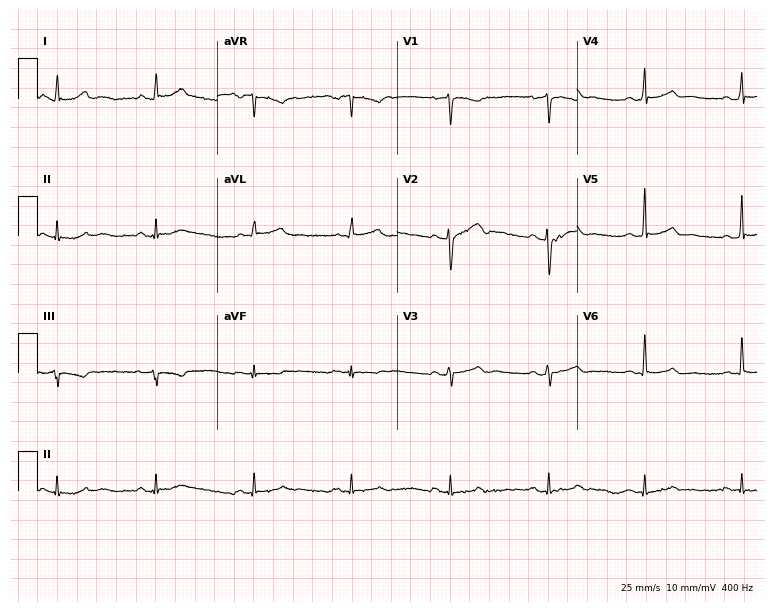
ECG — a 41-year-old man. Labelled as a normal ECG.